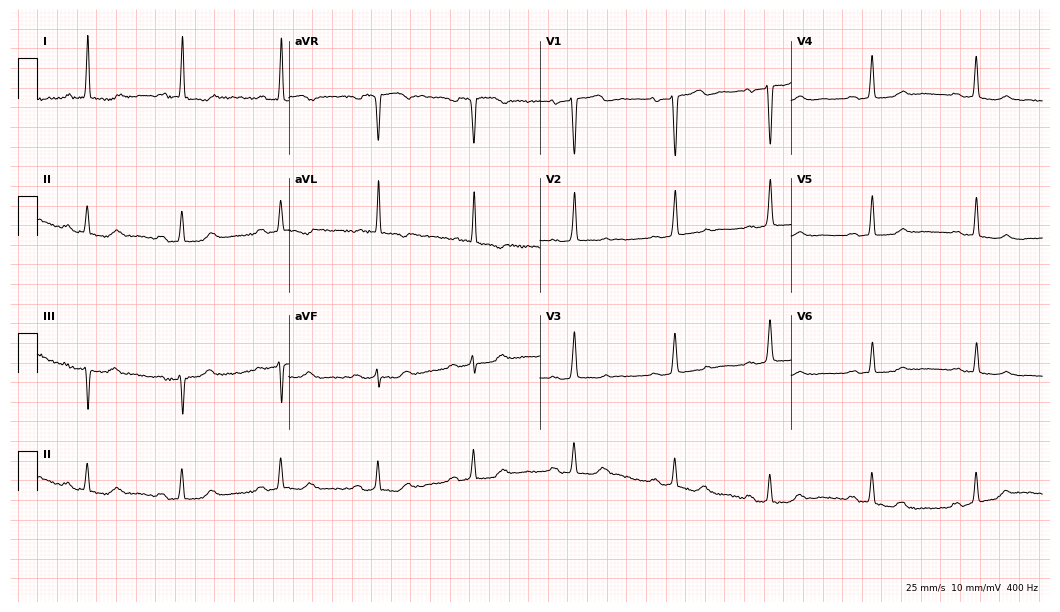
12-lead ECG (10.2-second recording at 400 Hz) from a 77-year-old woman. Labelled as a normal ECG.